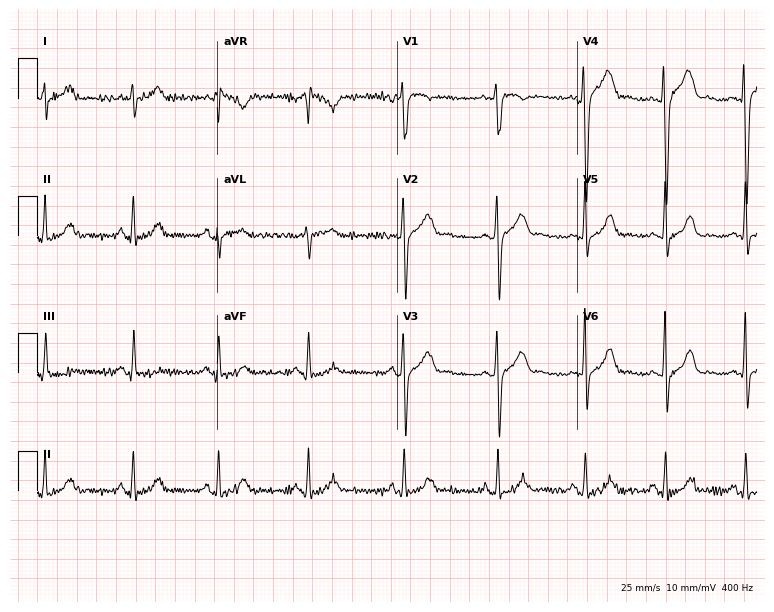
12-lead ECG from a man, 23 years old. No first-degree AV block, right bundle branch block (RBBB), left bundle branch block (LBBB), sinus bradycardia, atrial fibrillation (AF) or sinus tachycardia recorded for this tracing.